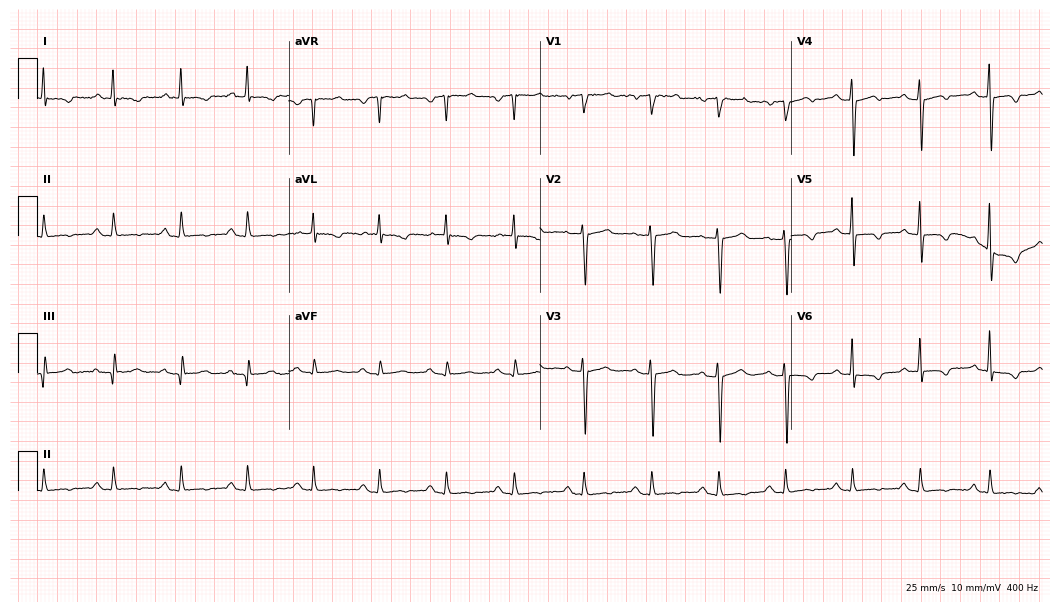
Electrocardiogram, a 72-year-old woman. Of the six screened findings (first-degree AV block, right bundle branch block, left bundle branch block, sinus bradycardia, atrial fibrillation, sinus tachycardia), none is recorded.